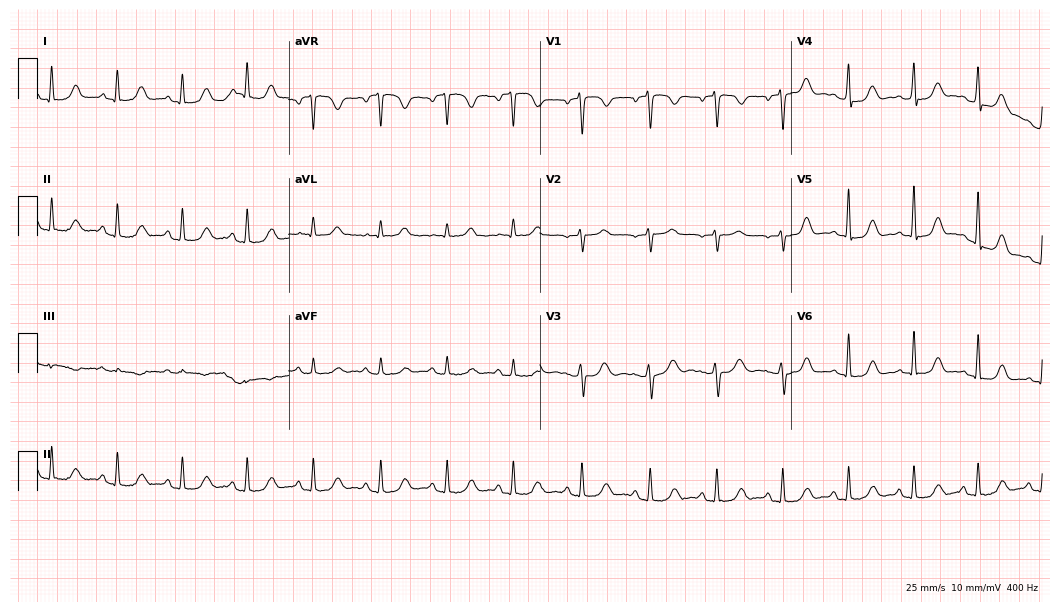
12-lead ECG from a 51-year-old woman. Recorded interpretation: within normal limits.